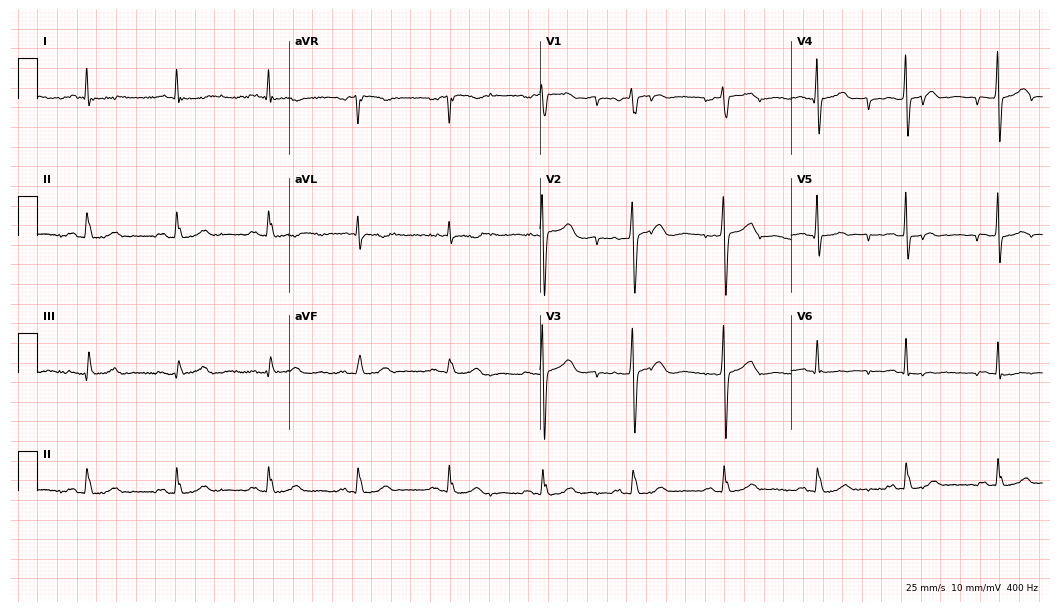
12-lead ECG from a 71-year-old female. No first-degree AV block, right bundle branch block, left bundle branch block, sinus bradycardia, atrial fibrillation or sinus tachycardia recorded for this tracing.